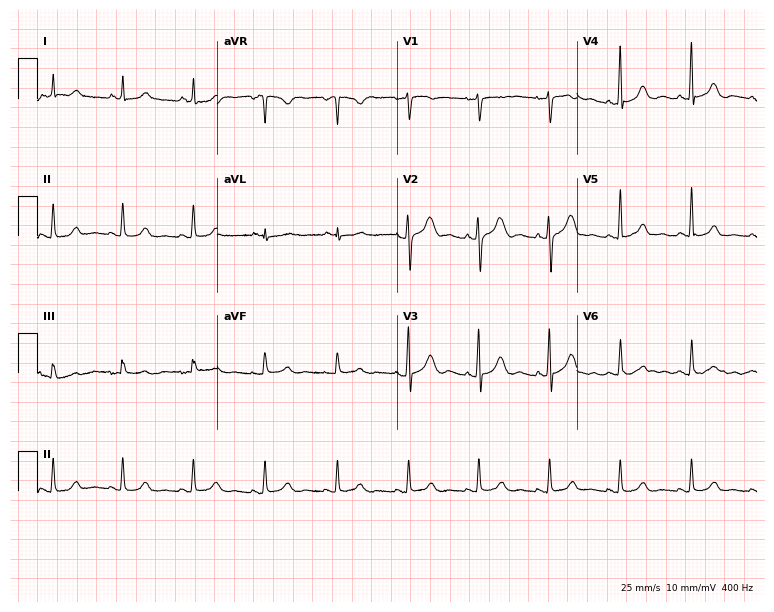
Resting 12-lead electrocardiogram (7.3-second recording at 400 Hz). Patient: a 47-year-old woman. None of these six findings is recorded: first-degree AV block, right bundle branch block, left bundle branch block, sinus bradycardia, atrial fibrillation, sinus tachycardia.